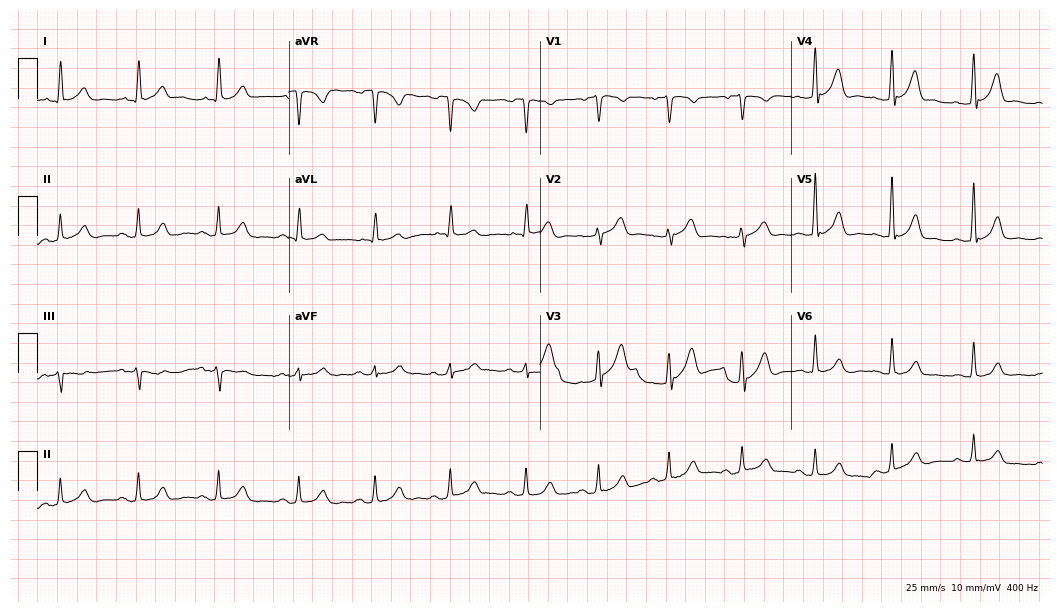
ECG (10.2-second recording at 400 Hz) — a man, 62 years old. Labelled as a normal ECG.